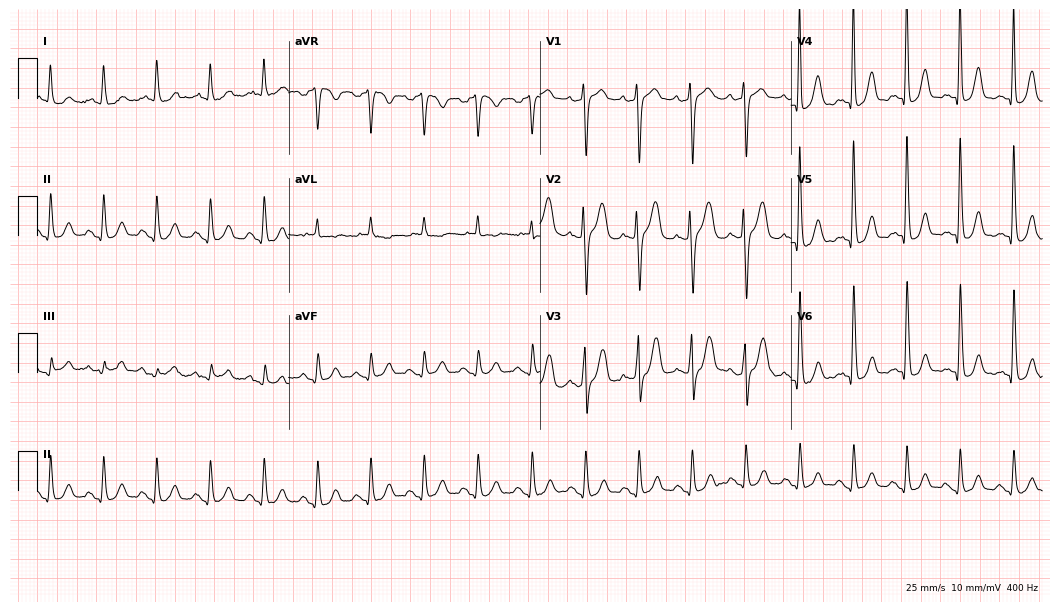
12-lead ECG from a female, 78 years old. Findings include sinus tachycardia (a sinus rate of 100 beats per minute or more).